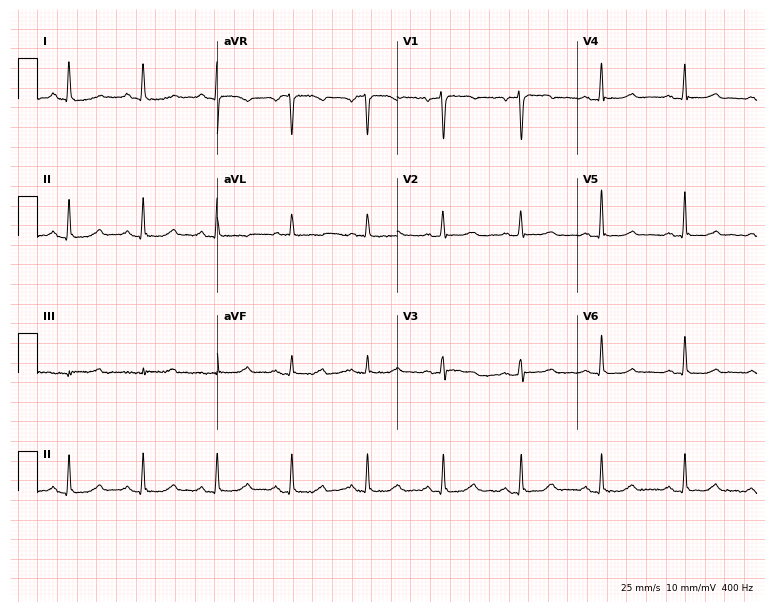
12-lead ECG (7.3-second recording at 400 Hz) from a 47-year-old woman. Labelled as a normal ECG.